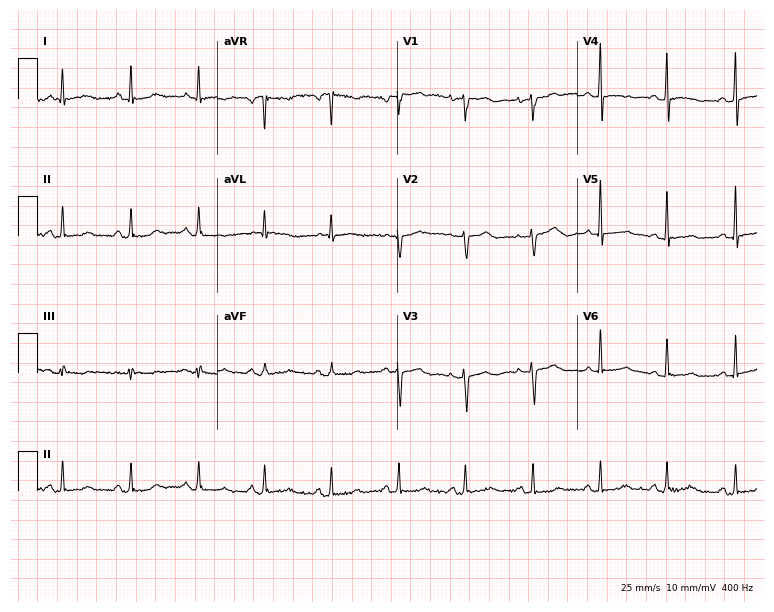
Standard 12-lead ECG recorded from a woman, 54 years old. None of these six findings is recorded: first-degree AV block, right bundle branch block (RBBB), left bundle branch block (LBBB), sinus bradycardia, atrial fibrillation (AF), sinus tachycardia.